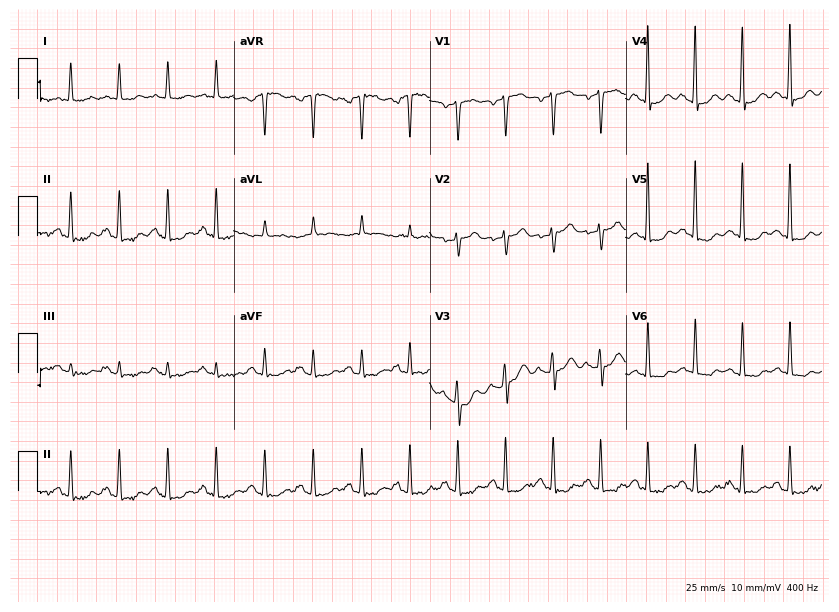
Standard 12-lead ECG recorded from a female, 68 years old (8-second recording at 400 Hz). The tracing shows sinus tachycardia (a sinus rate of 100 beats per minute or more).